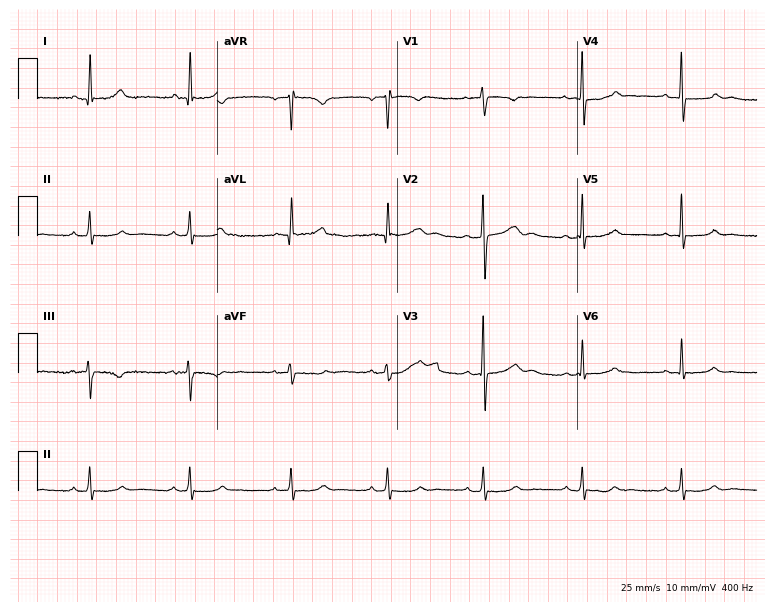
Electrocardiogram (7.3-second recording at 400 Hz), a 64-year-old female. Of the six screened findings (first-degree AV block, right bundle branch block, left bundle branch block, sinus bradycardia, atrial fibrillation, sinus tachycardia), none is recorded.